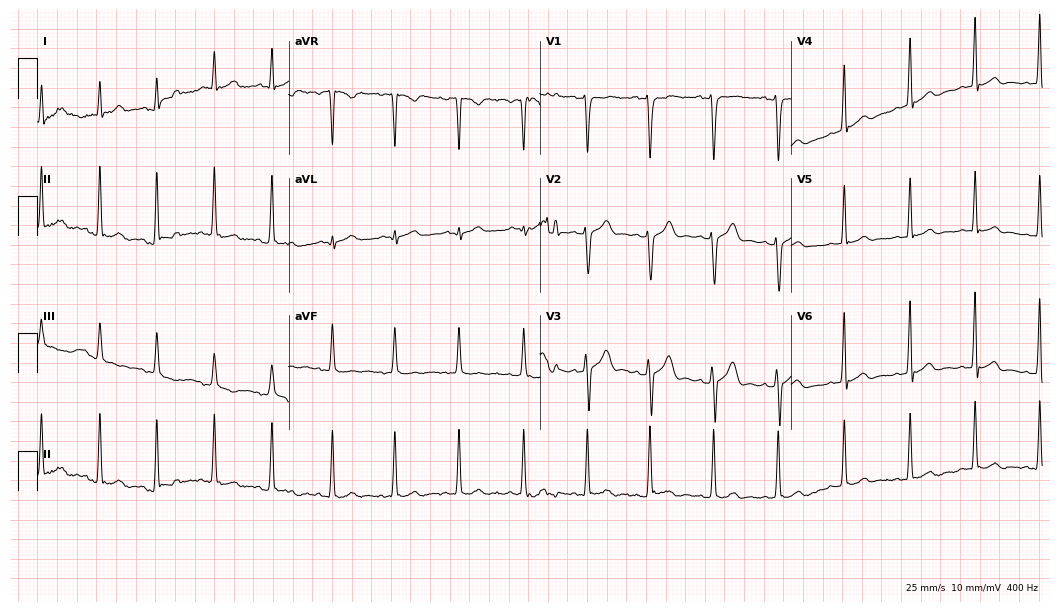
Standard 12-lead ECG recorded from a man, 18 years old. None of these six findings is recorded: first-degree AV block, right bundle branch block (RBBB), left bundle branch block (LBBB), sinus bradycardia, atrial fibrillation (AF), sinus tachycardia.